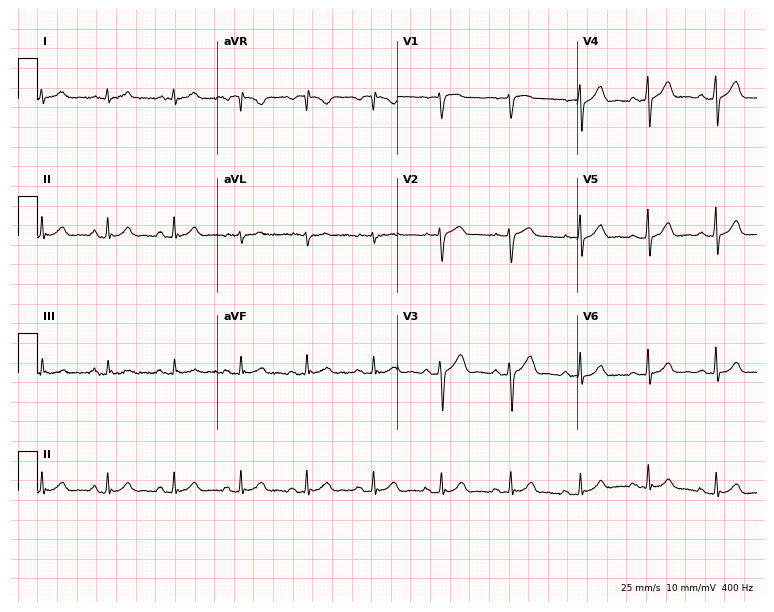
Standard 12-lead ECG recorded from a male, 52 years old. None of these six findings is recorded: first-degree AV block, right bundle branch block (RBBB), left bundle branch block (LBBB), sinus bradycardia, atrial fibrillation (AF), sinus tachycardia. Only these six findings were labelled.